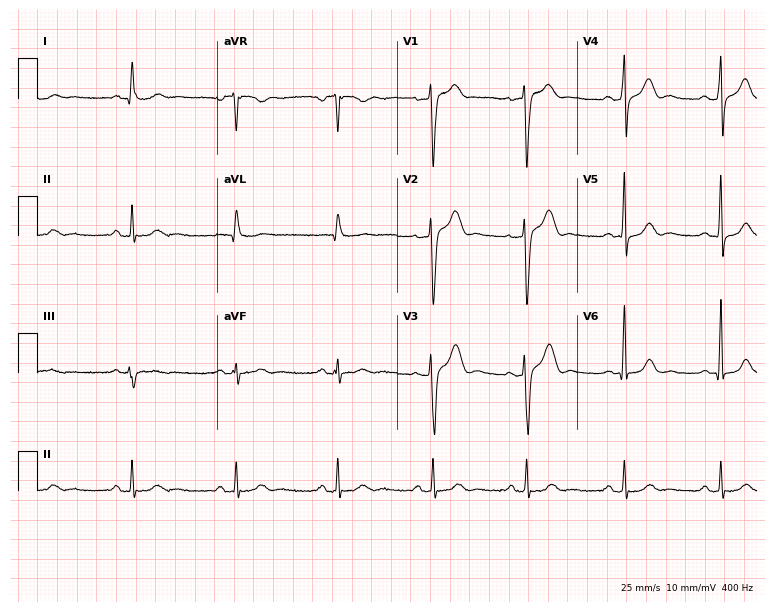
Resting 12-lead electrocardiogram (7.3-second recording at 400 Hz). Patient: a male, 60 years old. None of these six findings is recorded: first-degree AV block, right bundle branch block (RBBB), left bundle branch block (LBBB), sinus bradycardia, atrial fibrillation (AF), sinus tachycardia. Findings outside these six are not listed.